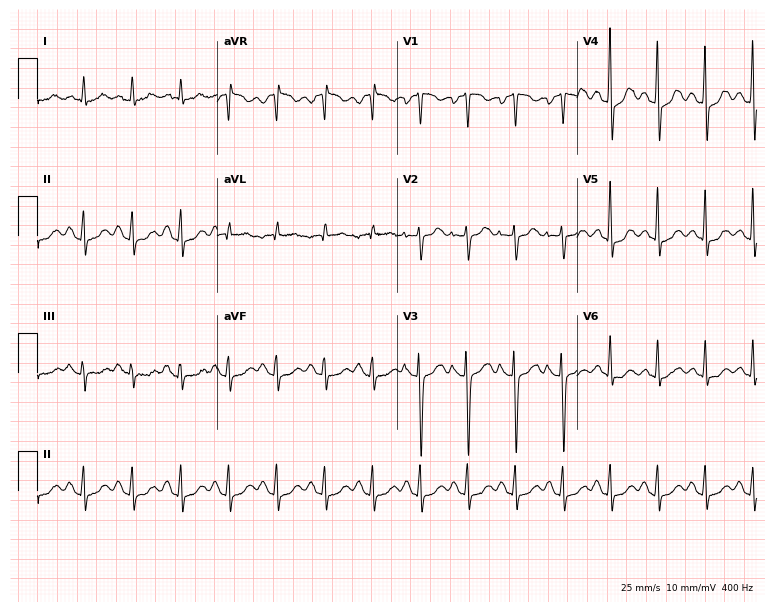
Resting 12-lead electrocardiogram. Patient: a 67-year-old female. The tracing shows sinus tachycardia (a sinus rate of 100 beats per minute or more).